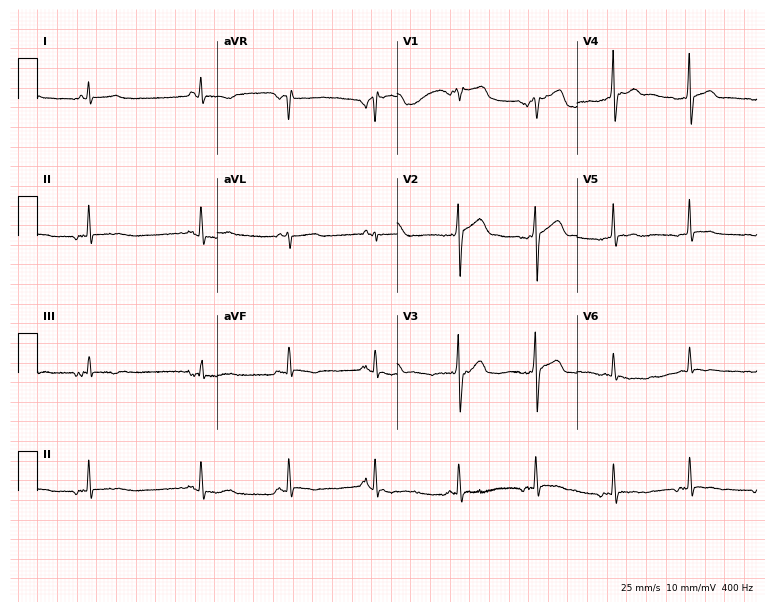
ECG (7.3-second recording at 400 Hz) — a 50-year-old male patient. Labelled as a normal ECG.